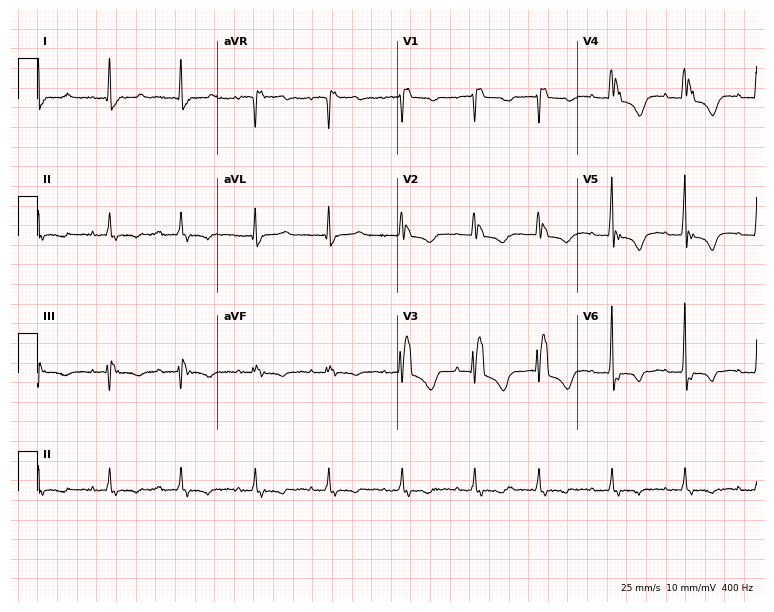
Standard 12-lead ECG recorded from an 84-year-old female. None of these six findings is recorded: first-degree AV block, right bundle branch block, left bundle branch block, sinus bradycardia, atrial fibrillation, sinus tachycardia.